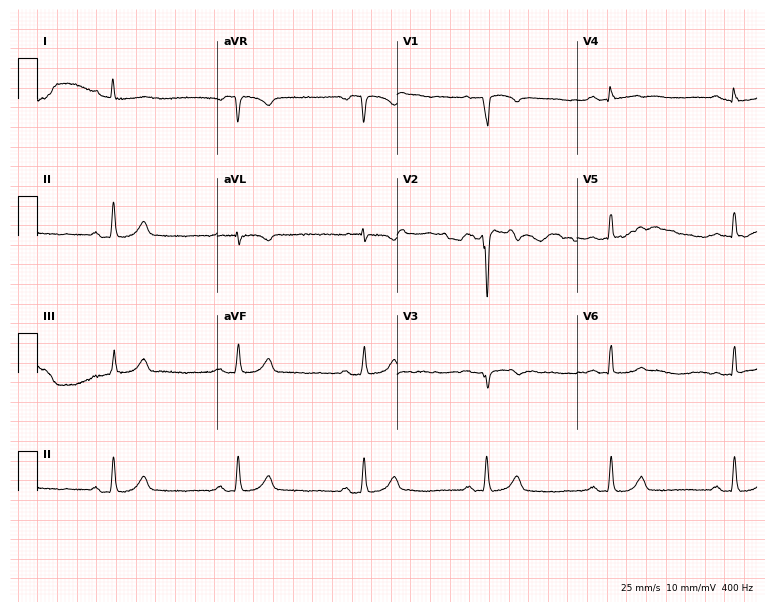
Standard 12-lead ECG recorded from a male, 71 years old. The tracing shows sinus bradycardia (a sinus rate of 50 beats per minute or less).